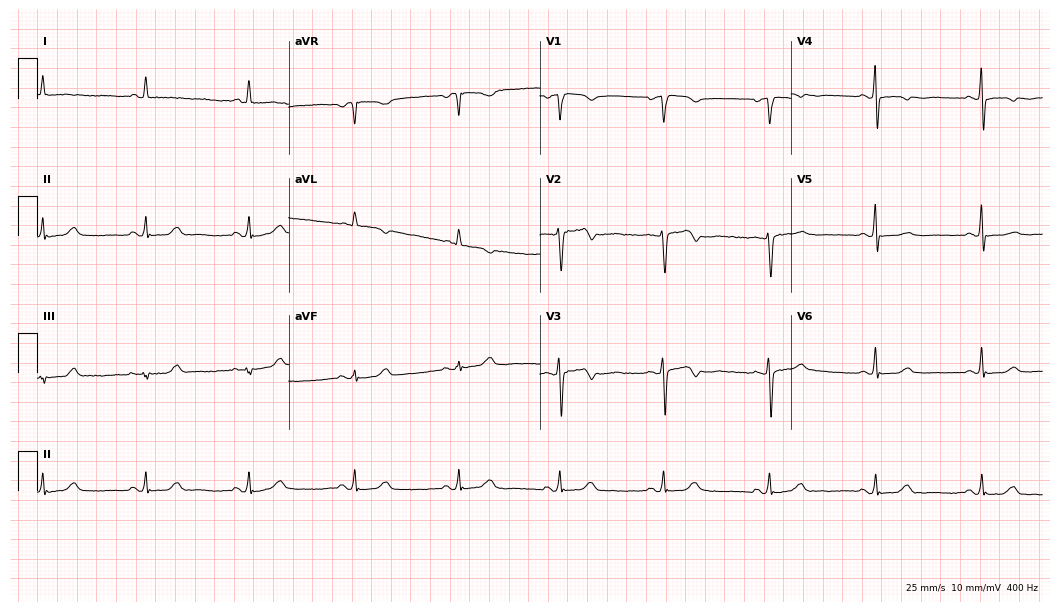
12-lead ECG from a 65-year-old female patient (10.2-second recording at 400 Hz). No first-degree AV block, right bundle branch block (RBBB), left bundle branch block (LBBB), sinus bradycardia, atrial fibrillation (AF) or sinus tachycardia recorded for this tracing.